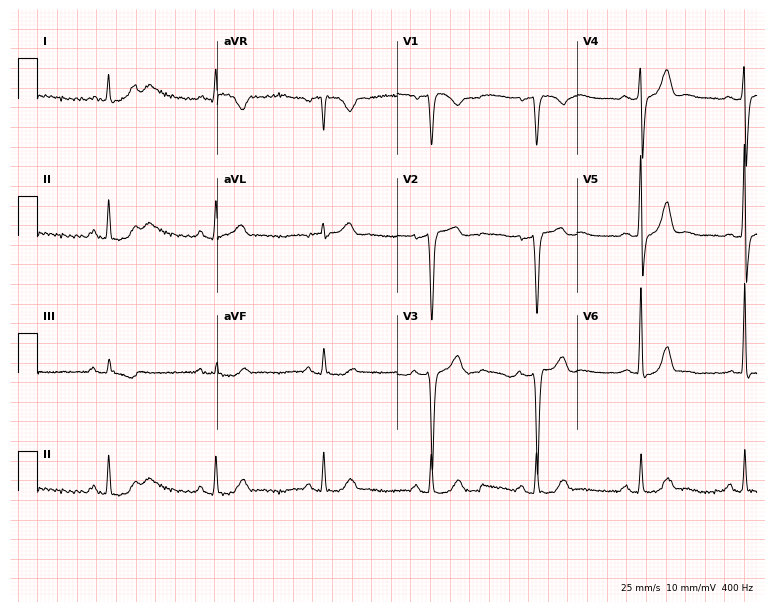
Standard 12-lead ECG recorded from a male, 77 years old. Read as a normal ECG.